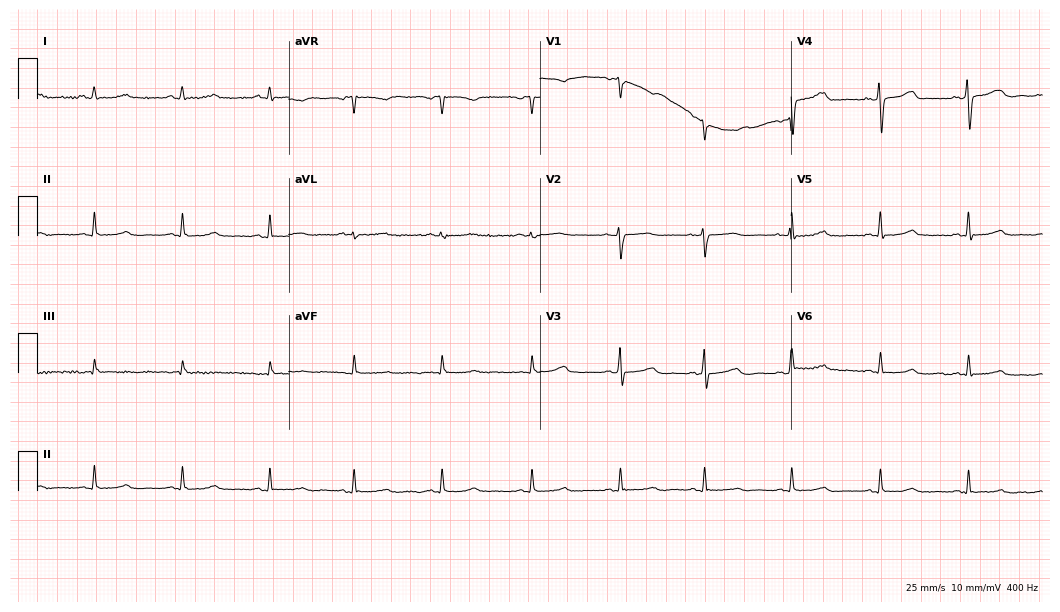
Standard 12-lead ECG recorded from a 51-year-old female patient. Read as a normal ECG.